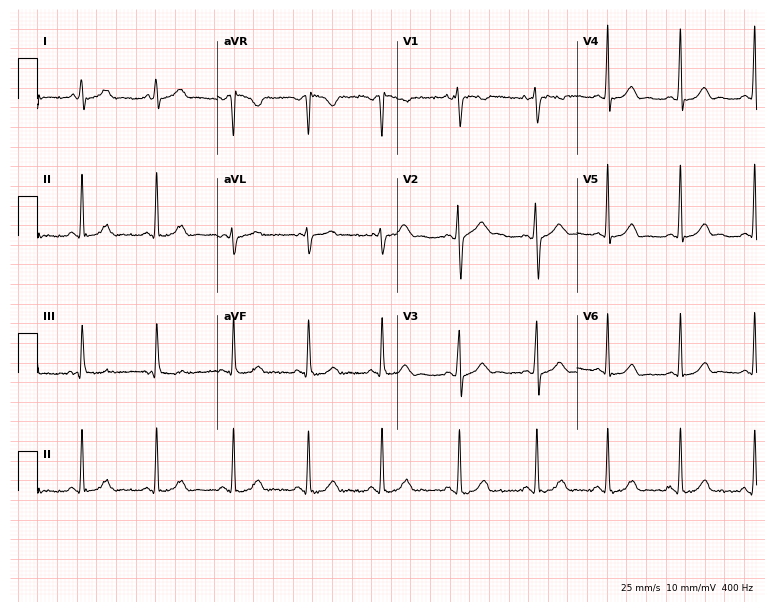
Standard 12-lead ECG recorded from a female, 17 years old (7.3-second recording at 400 Hz). Read as a normal ECG.